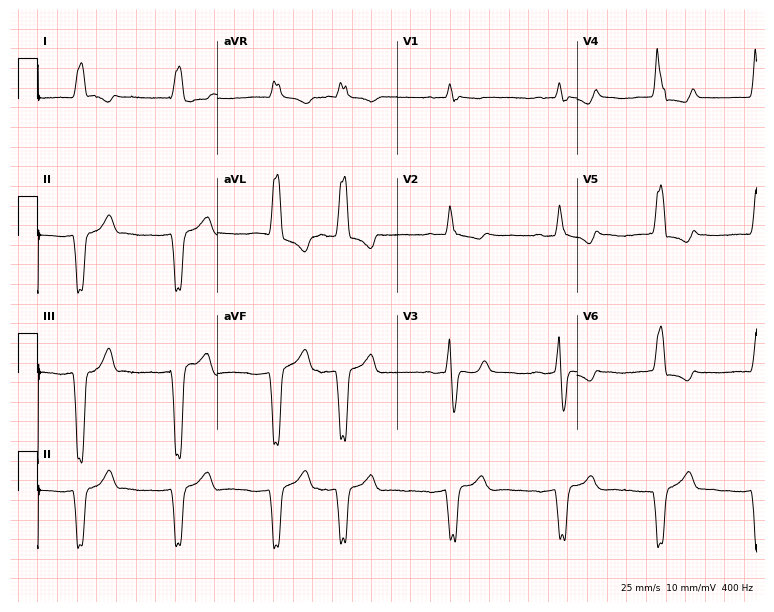
Electrocardiogram (7.3-second recording at 400 Hz), a man, 70 years old. Interpretation includes left bundle branch block, atrial fibrillation.